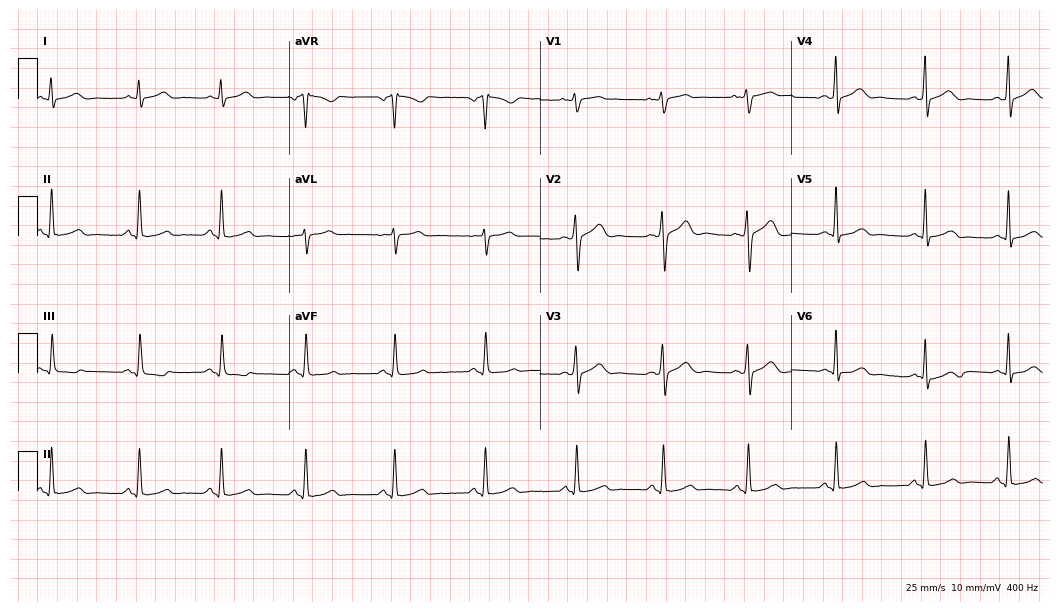
Standard 12-lead ECG recorded from a woman, 38 years old (10.2-second recording at 400 Hz). None of these six findings is recorded: first-degree AV block, right bundle branch block (RBBB), left bundle branch block (LBBB), sinus bradycardia, atrial fibrillation (AF), sinus tachycardia.